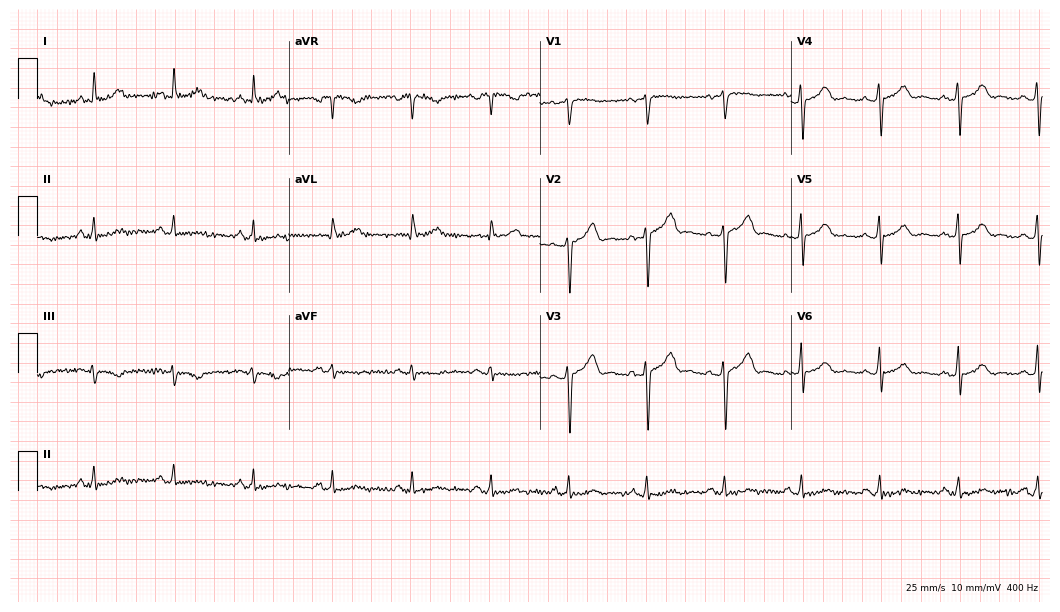
Electrocardiogram (10.2-second recording at 400 Hz), a female, 48 years old. Overall reading on record: normal ECG.